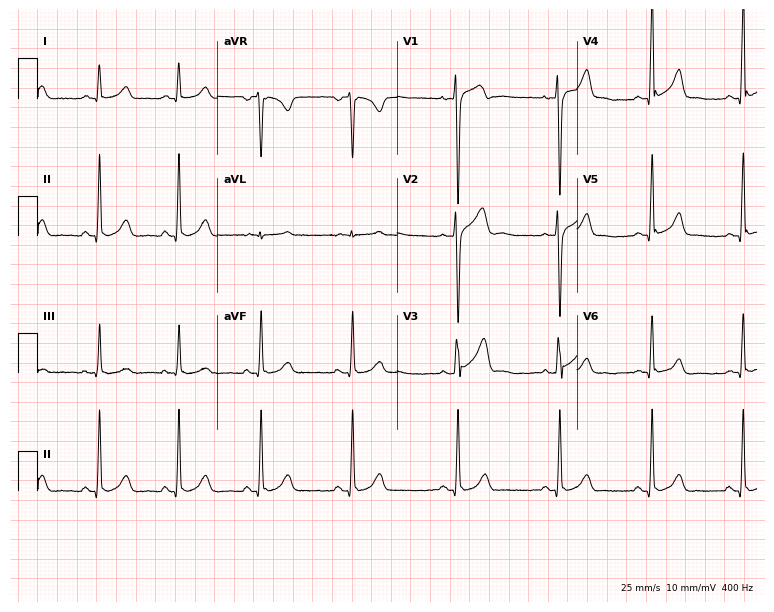
Resting 12-lead electrocardiogram. Patient: a 28-year-old male. Read as a normal ECG.